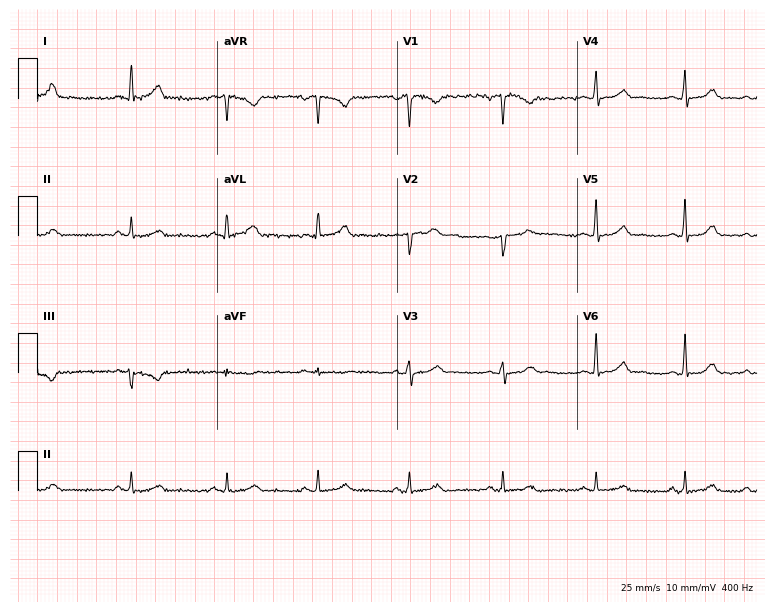
12-lead ECG (7.3-second recording at 400 Hz) from a 39-year-old man. Labelled as a normal ECG.